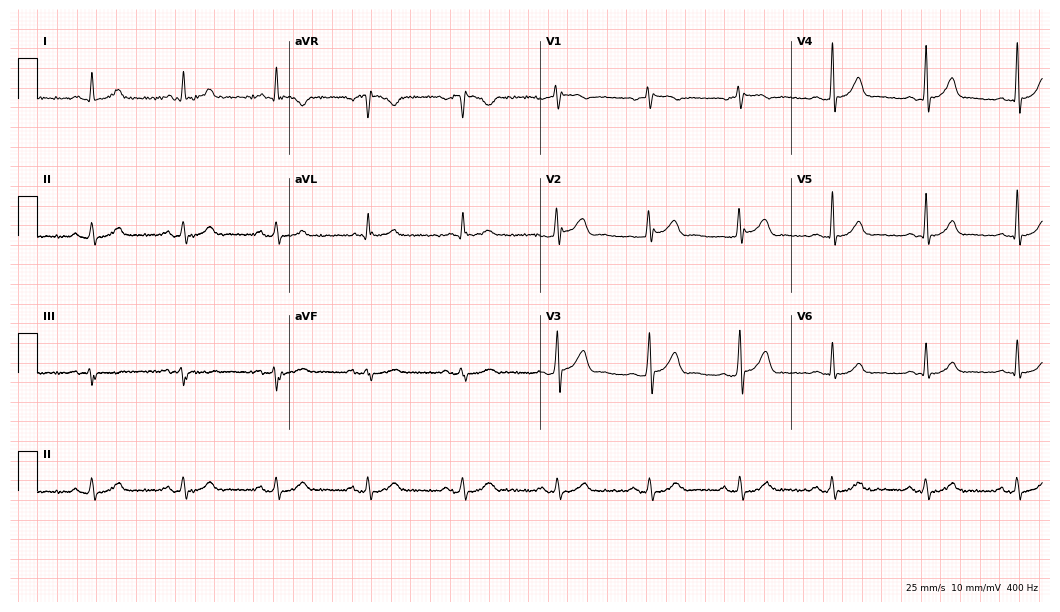
ECG — a male patient, 52 years old. Labelled as a normal ECG.